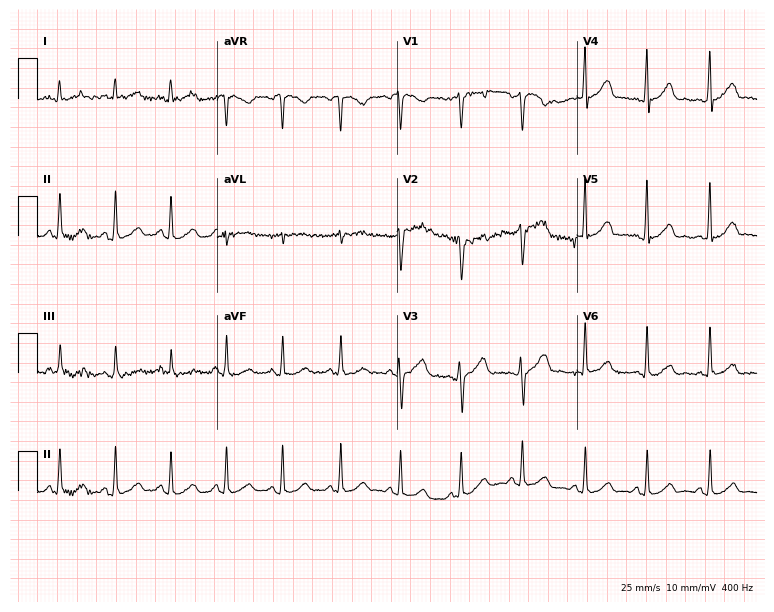
12-lead ECG from a female patient, 38 years old. No first-degree AV block, right bundle branch block (RBBB), left bundle branch block (LBBB), sinus bradycardia, atrial fibrillation (AF) or sinus tachycardia recorded for this tracing.